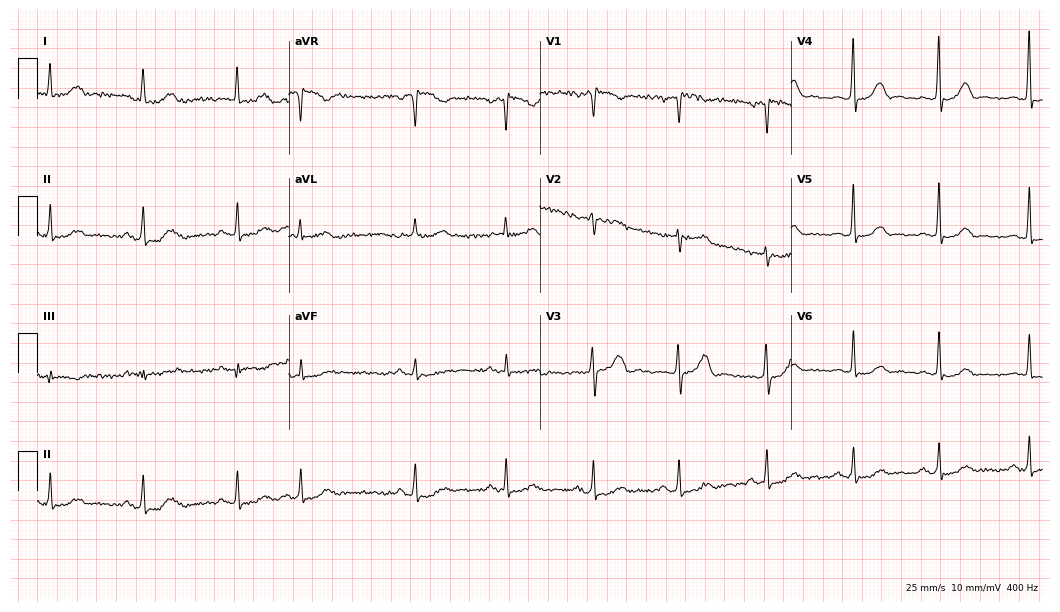
Standard 12-lead ECG recorded from a 68-year-old female (10.2-second recording at 400 Hz). None of these six findings is recorded: first-degree AV block, right bundle branch block, left bundle branch block, sinus bradycardia, atrial fibrillation, sinus tachycardia. Other findings, if any, are not listed.